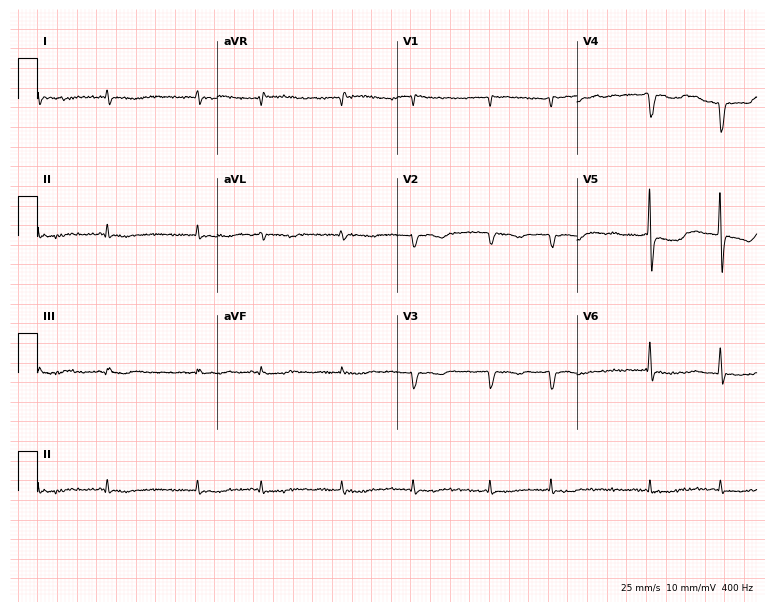
Electrocardiogram, a 79-year-old man. Interpretation includes atrial fibrillation (AF).